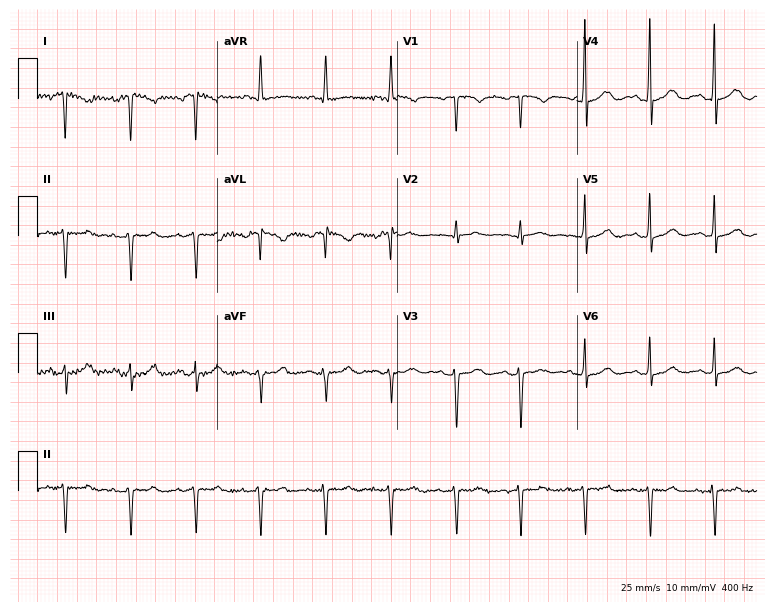
Standard 12-lead ECG recorded from a 52-year-old female patient. None of these six findings is recorded: first-degree AV block, right bundle branch block, left bundle branch block, sinus bradycardia, atrial fibrillation, sinus tachycardia. Only these six findings were labelled.